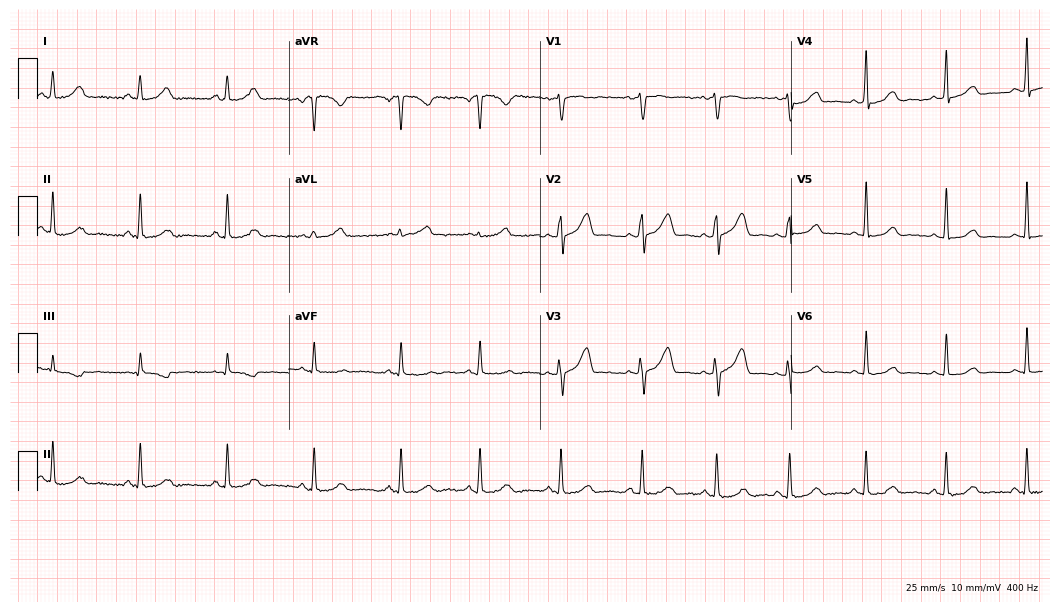
Electrocardiogram, a 49-year-old female patient. Overall reading on record: normal ECG.